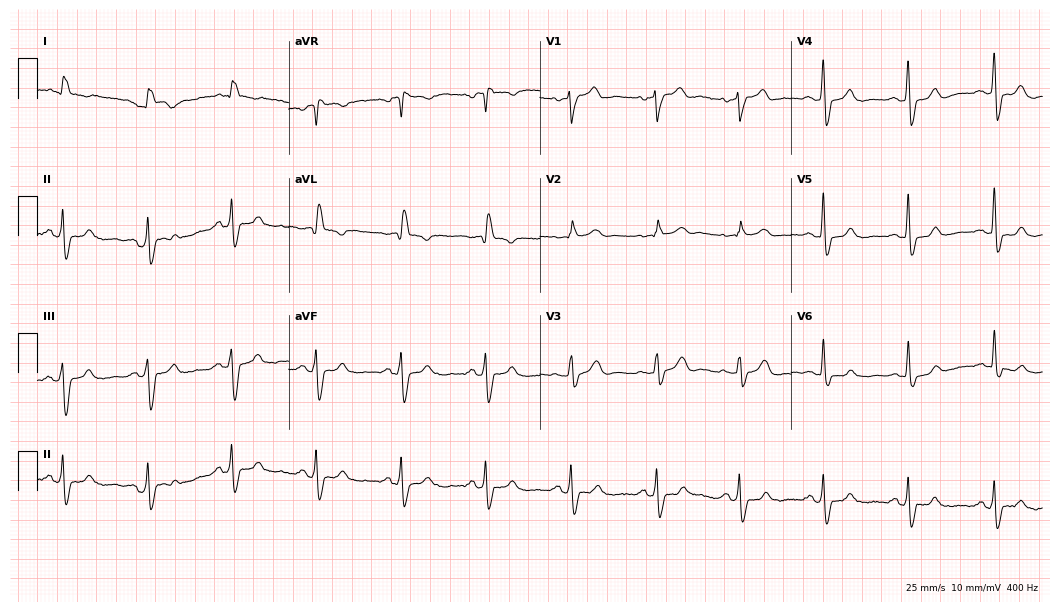
Resting 12-lead electrocardiogram (10.2-second recording at 400 Hz). Patient: a male, 75 years old. None of these six findings is recorded: first-degree AV block, right bundle branch block, left bundle branch block, sinus bradycardia, atrial fibrillation, sinus tachycardia.